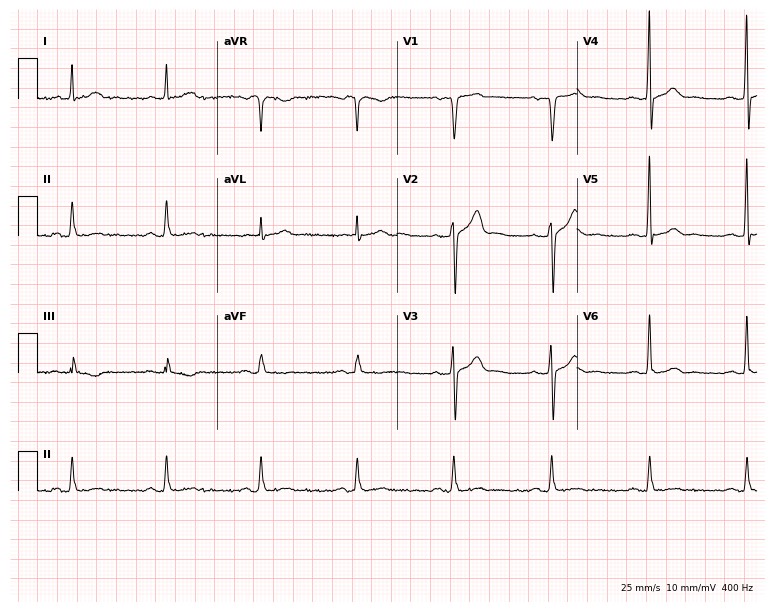
Electrocardiogram, a male patient, 57 years old. Overall reading on record: normal ECG.